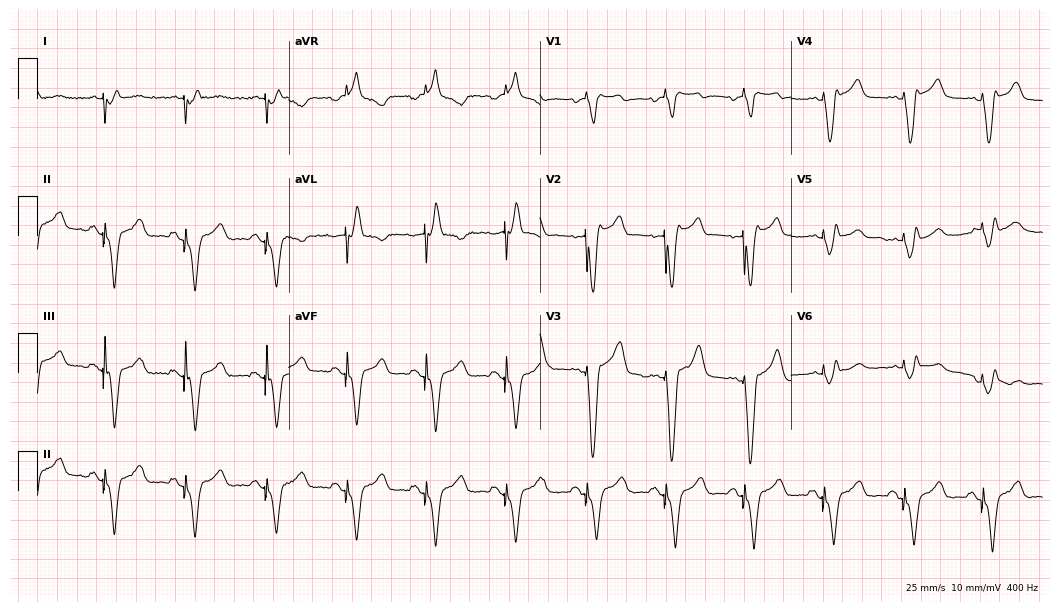
ECG (10.2-second recording at 400 Hz) — a 59-year-old man. Screened for six findings — first-degree AV block, right bundle branch block (RBBB), left bundle branch block (LBBB), sinus bradycardia, atrial fibrillation (AF), sinus tachycardia — none is recorded. Only these six findings were labelled.